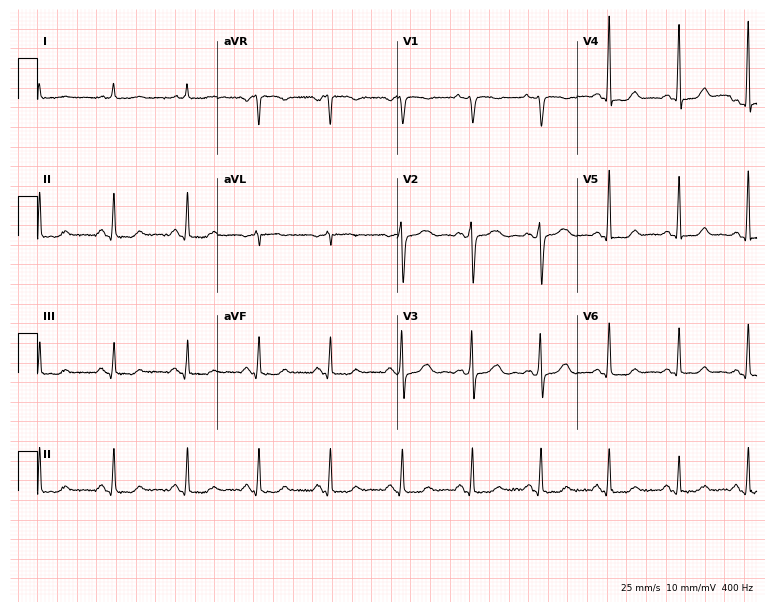
12-lead ECG (7.3-second recording at 400 Hz) from a 48-year-old female patient. Labelled as a normal ECG.